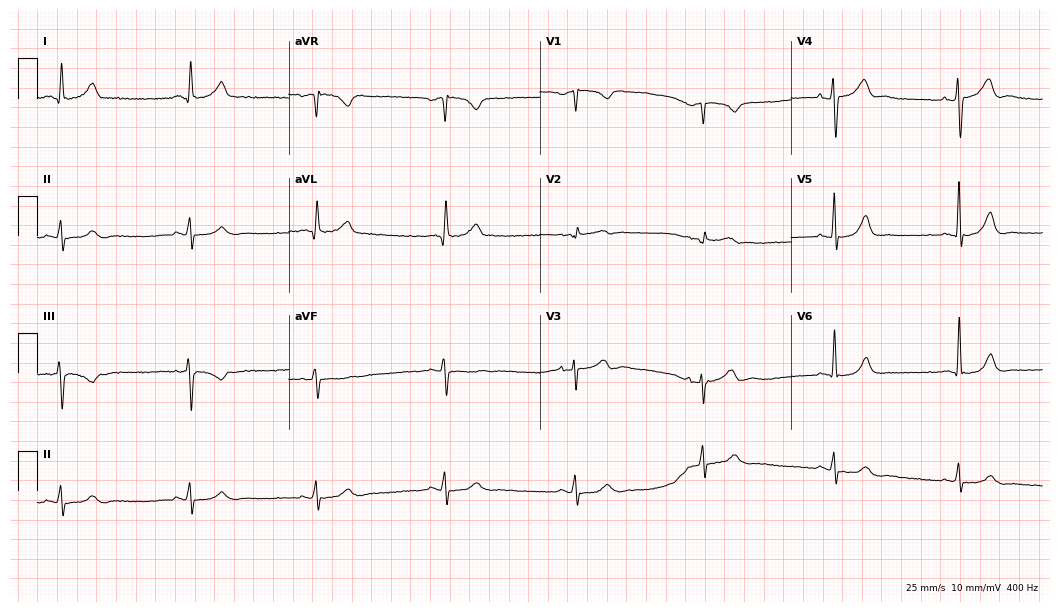
ECG (10.2-second recording at 400 Hz) — a 47-year-old male patient. Screened for six findings — first-degree AV block, right bundle branch block, left bundle branch block, sinus bradycardia, atrial fibrillation, sinus tachycardia — none is recorded.